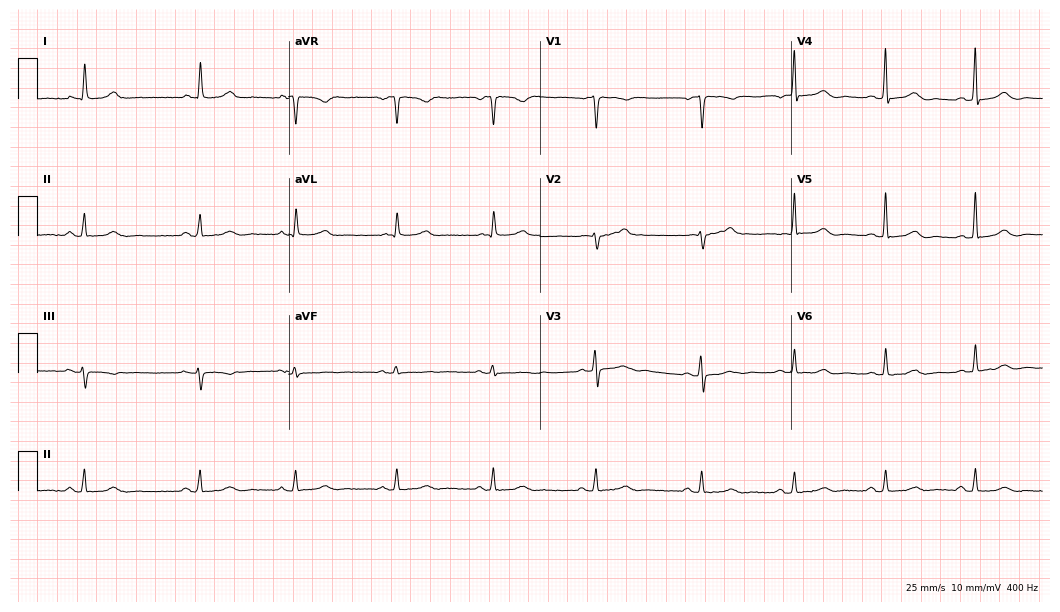
12-lead ECG from a 76-year-old female patient (10.2-second recording at 400 Hz). No first-degree AV block, right bundle branch block (RBBB), left bundle branch block (LBBB), sinus bradycardia, atrial fibrillation (AF) or sinus tachycardia recorded for this tracing.